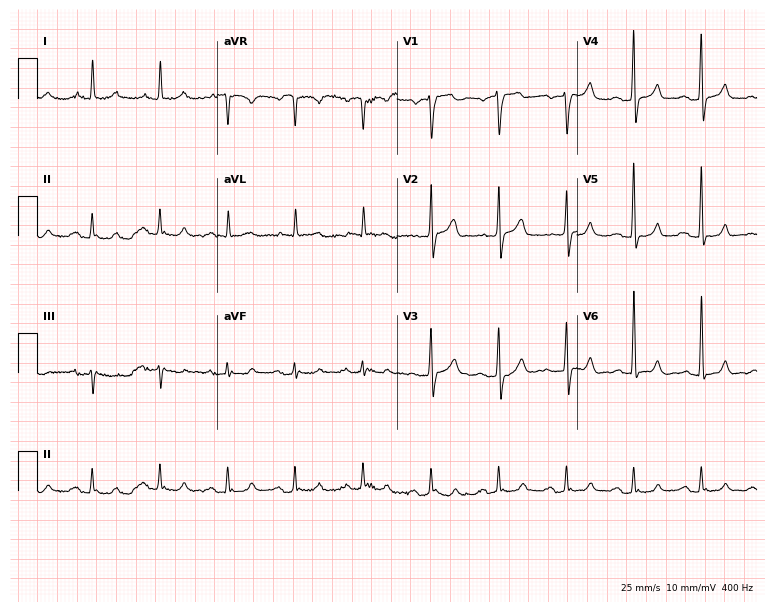
Standard 12-lead ECG recorded from a man, 73 years old. None of these six findings is recorded: first-degree AV block, right bundle branch block (RBBB), left bundle branch block (LBBB), sinus bradycardia, atrial fibrillation (AF), sinus tachycardia. Other findings, if any, are not listed.